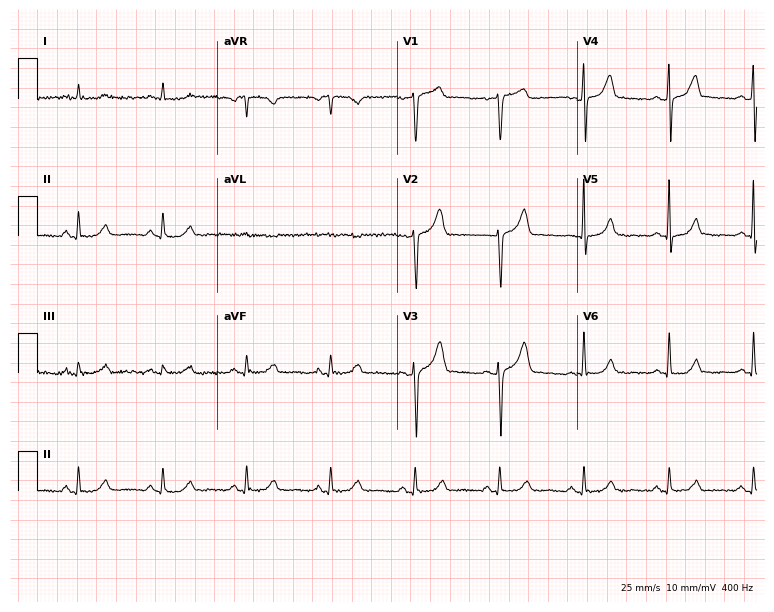
Electrocardiogram, a 78-year-old female patient. Of the six screened findings (first-degree AV block, right bundle branch block, left bundle branch block, sinus bradycardia, atrial fibrillation, sinus tachycardia), none is recorded.